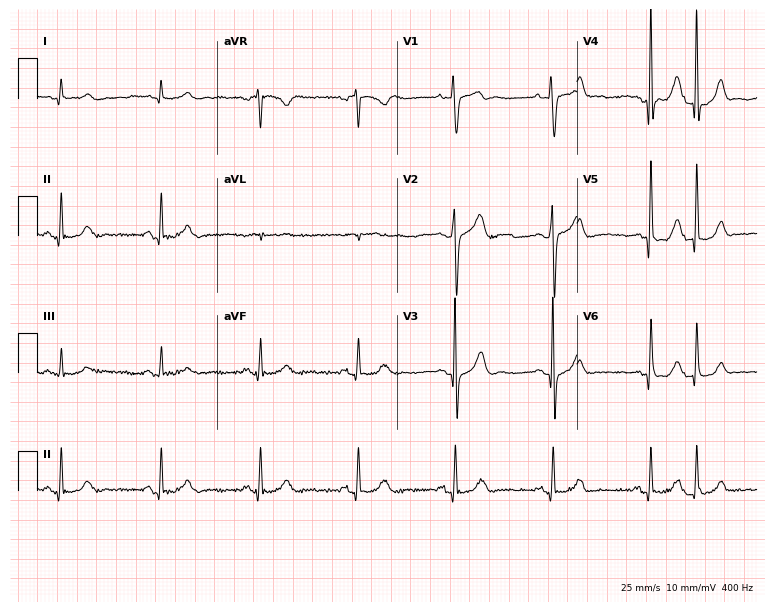
12-lead ECG from a 76-year-old male. Recorded interpretation: within normal limits.